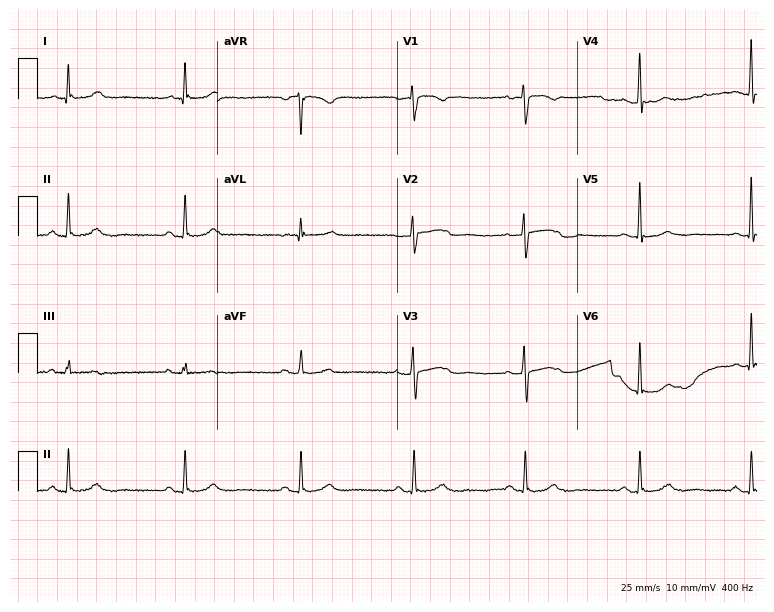
12-lead ECG from a 65-year-old female (7.3-second recording at 400 Hz). No first-degree AV block, right bundle branch block, left bundle branch block, sinus bradycardia, atrial fibrillation or sinus tachycardia recorded for this tracing. Other findings, if any, are not listed.